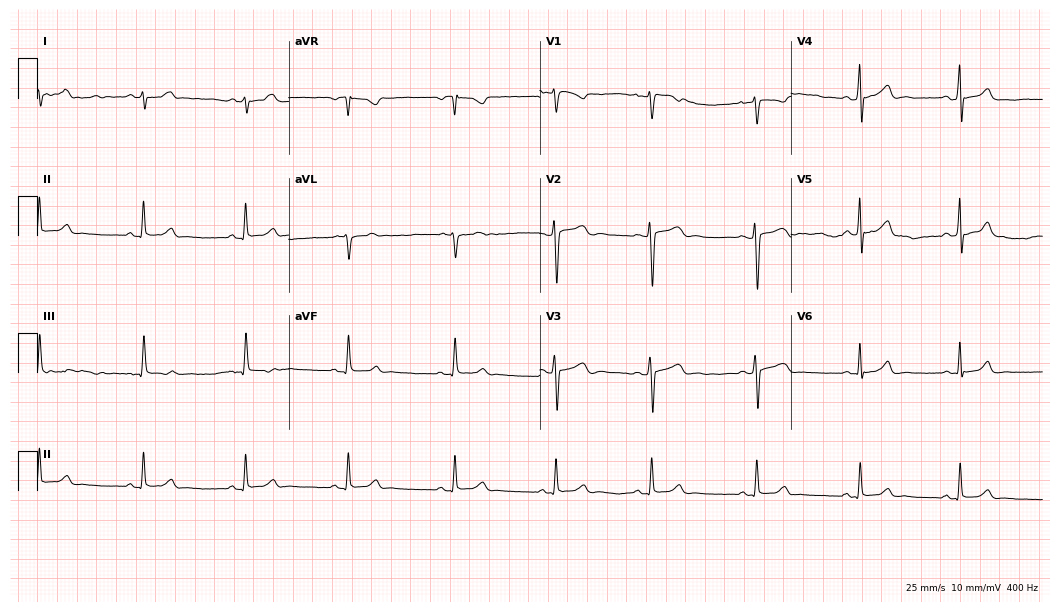
12-lead ECG (10.2-second recording at 400 Hz) from a female patient, 17 years old. Labelled as a normal ECG.